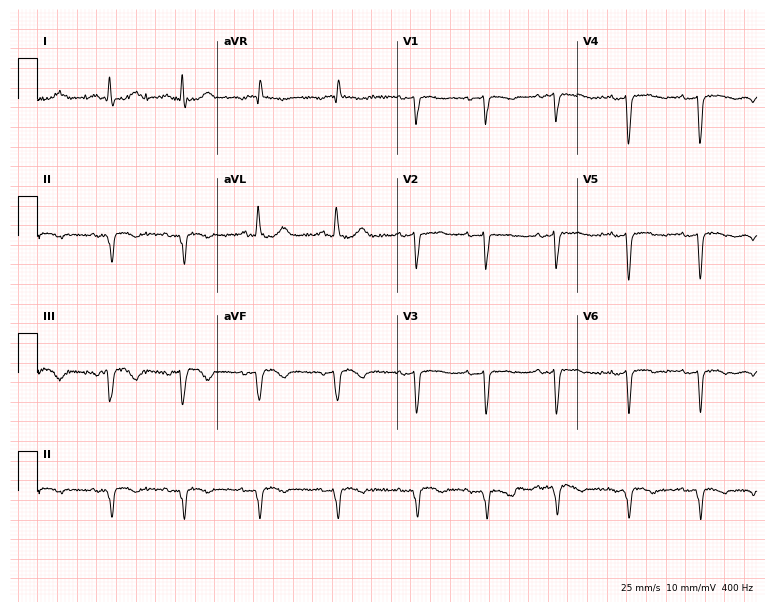
12-lead ECG from a woman, 75 years old. Screened for six findings — first-degree AV block, right bundle branch block (RBBB), left bundle branch block (LBBB), sinus bradycardia, atrial fibrillation (AF), sinus tachycardia — none is recorded.